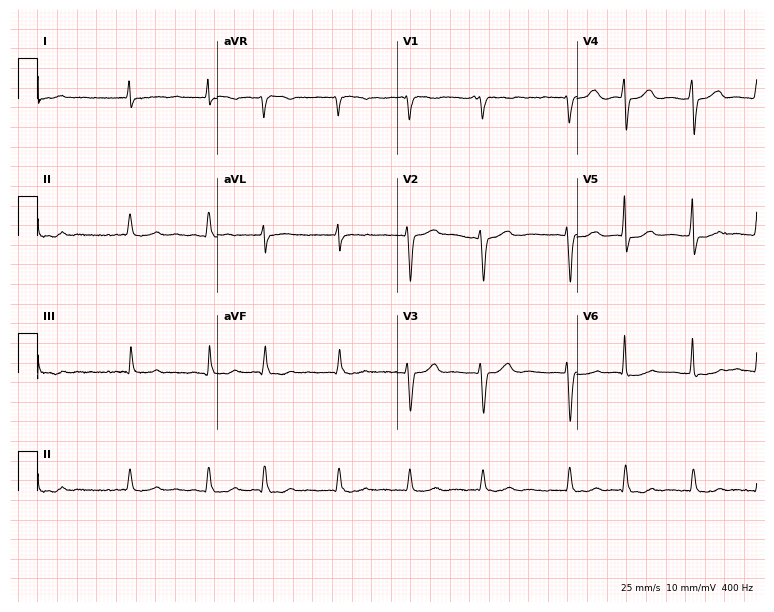
12-lead ECG from an 82-year-old female (7.3-second recording at 400 Hz). Shows atrial fibrillation.